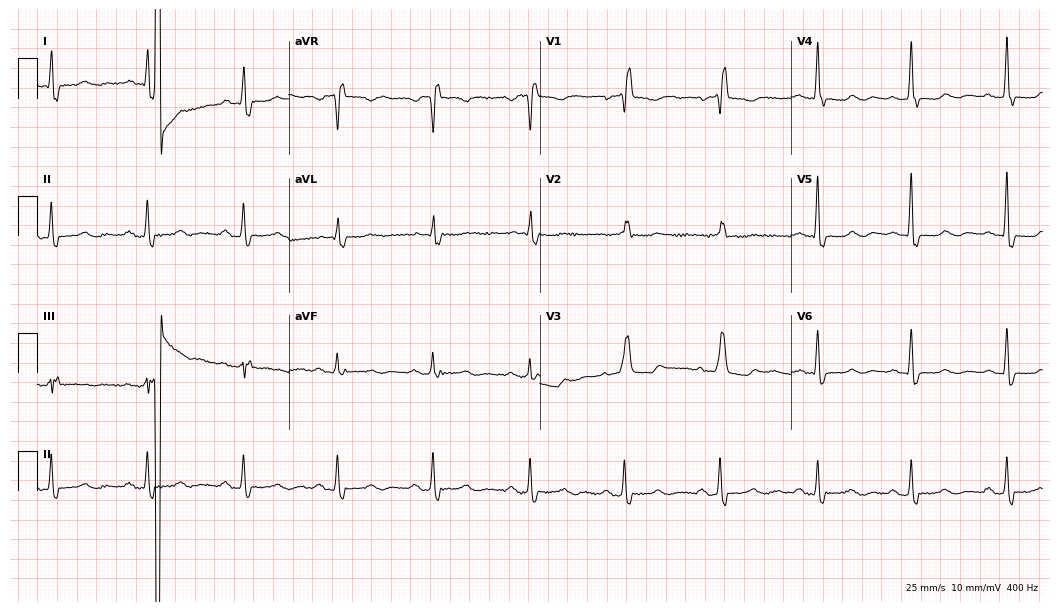
12-lead ECG from a woman, 58 years old (10.2-second recording at 400 Hz). Shows first-degree AV block.